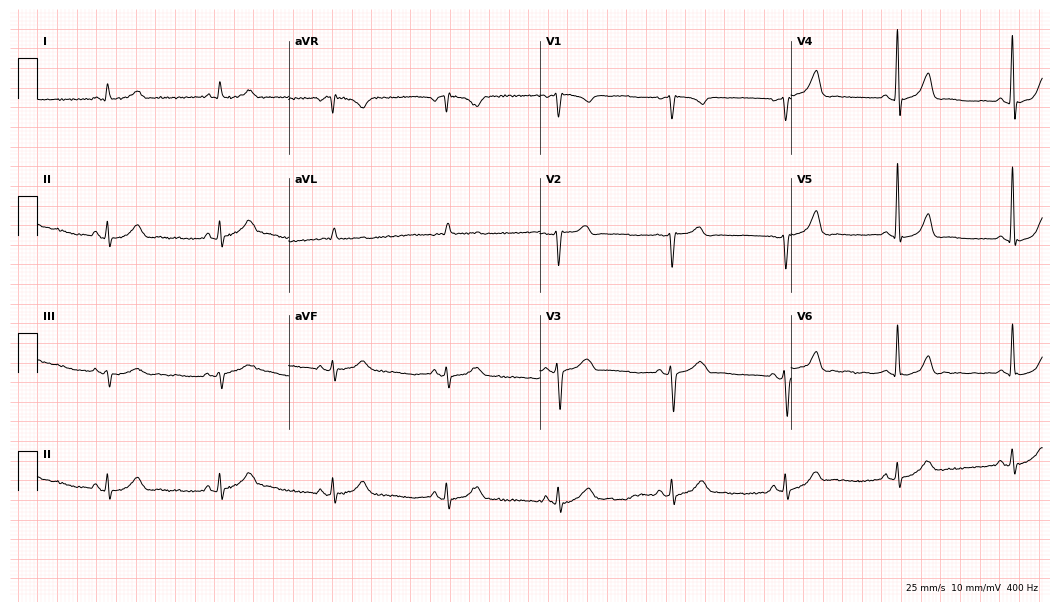
Electrocardiogram (10.2-second recording at 400 Hz), a 72-year-old man. Overall reading on record: normal ECG.